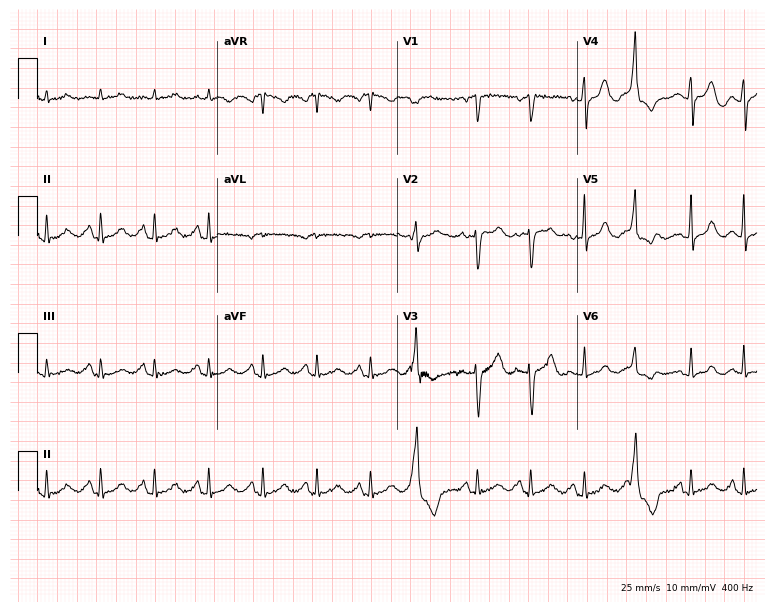
Standard 12-lead ECG recorded from a 53-year-old female patient (7.3-second recording at 400 Hz). None of these six findings is recorded: first-degree AV block, right bundle branch block, left bundle branch block, sinus bradycardia, atrial fibrillation, sinus tachycardia. Findings outside these six are not listed.